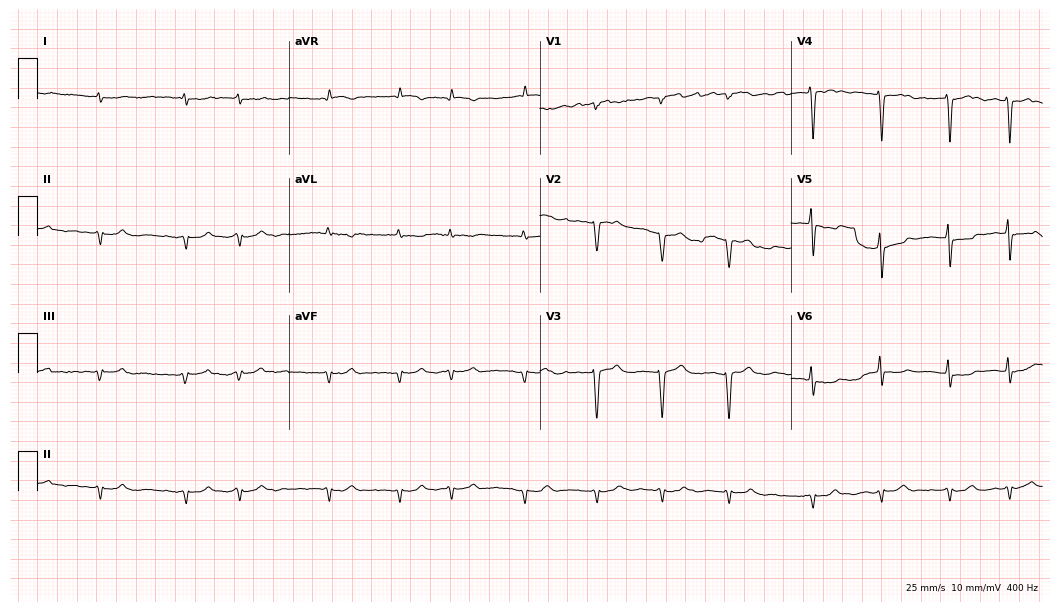
12-lead ECG from a male, 69 years old (10.2-second recording at 400 Hz). Shows atrial fibrillation.